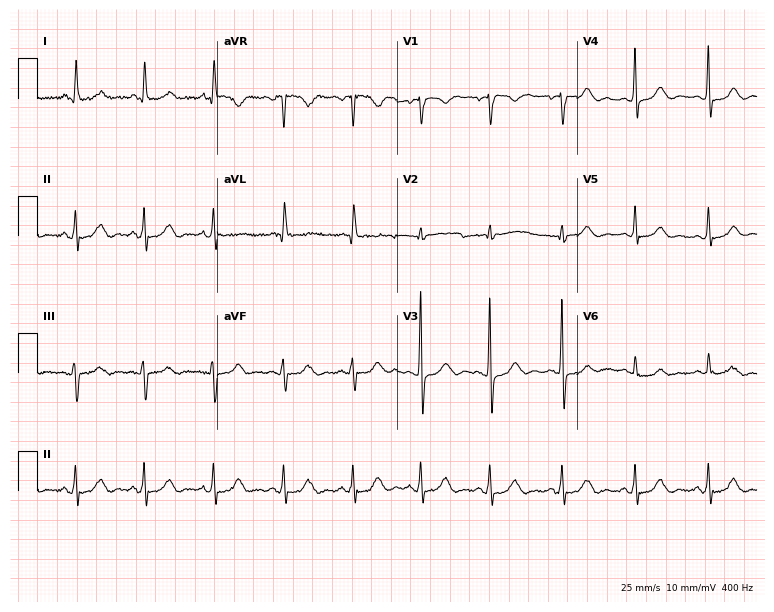
Resting 12-lead electrocardiogram (7.3-second recording at 400 Hz). Patient: a 51-year-old female. Read as a normal ECG.